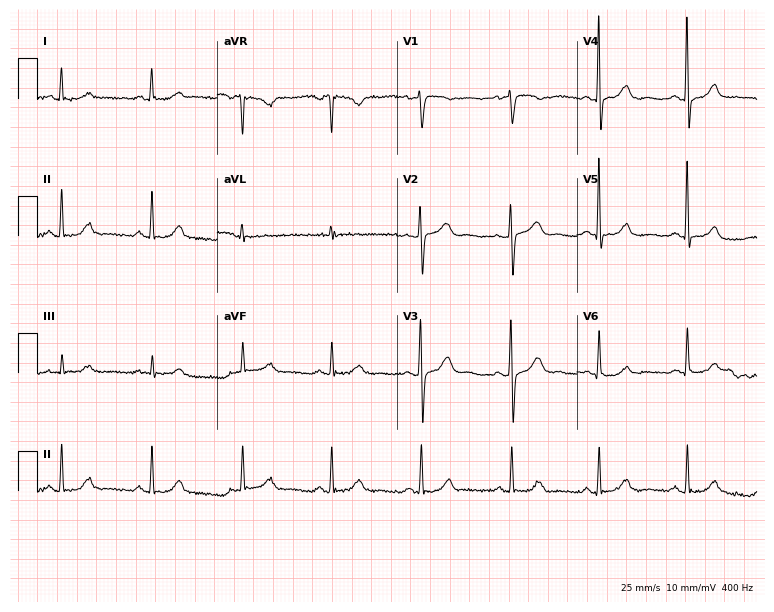
Electrocardiogram (7.3-second recording at 400 Hz), a female patient, 63 years old. Of the six screened findings (first-degree AV block, right bundle branch block (RBBB), left bundle branch block (LBBB), sinus bradycardia, atrial fibrillation (AF), sinus tachycardia), none is recorded.